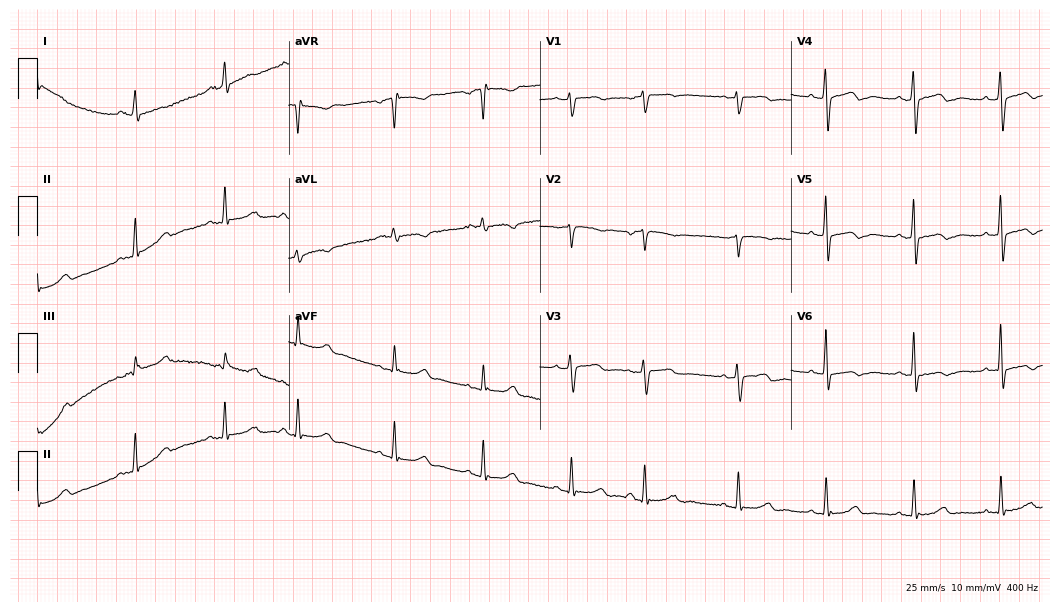
12-lead ECG from a woman, 71 years old. No first-degree AV block, right bundle branch block, left bundle branch block, sinus bradycardia, atrial fibrillation or sinus tachycardia recorded for this tracing. Other findings, if any, are not listed.